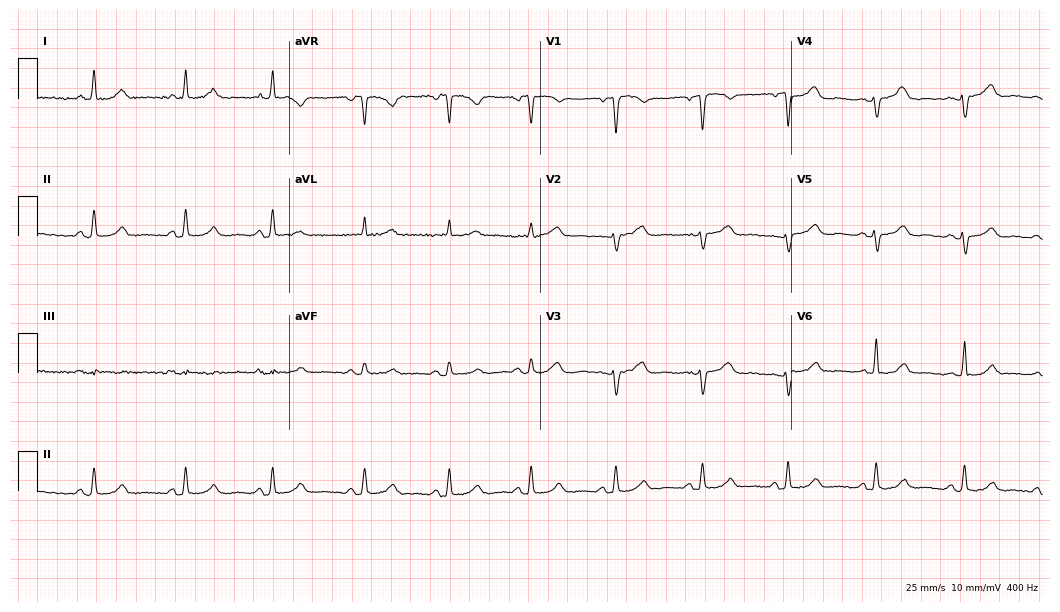
12-lead ECG from a female, 54 years old (10.2-second recording at 400 Hz). No first-degree AV block, right bundle branch block (RBBB), left bundle branch block (LBBB), sinus bradycardia, atrial fibrillation (AF) or sinus tachycardia recorded for this tracing. Only these six findings were labelled.